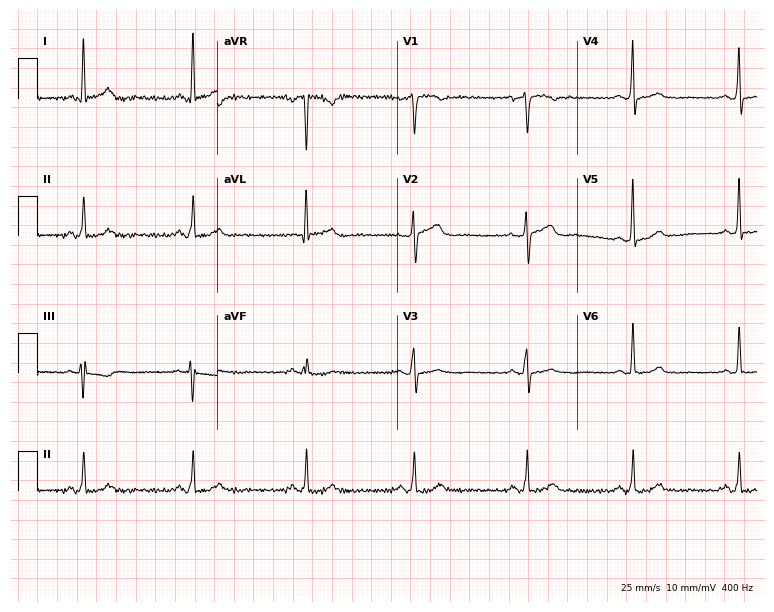
Resting 12-lead electrocardiogram. Patient: a woman, 55 years old. Read as a normal ECG.